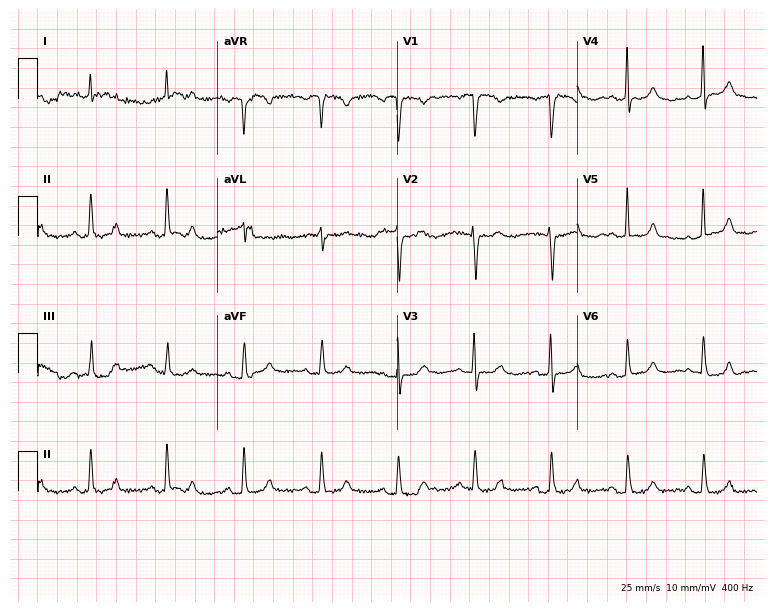
12-lead ECG (7.3-second recording at 400 Hz) from a male, 74 years old. Labelled as a normal ECG.